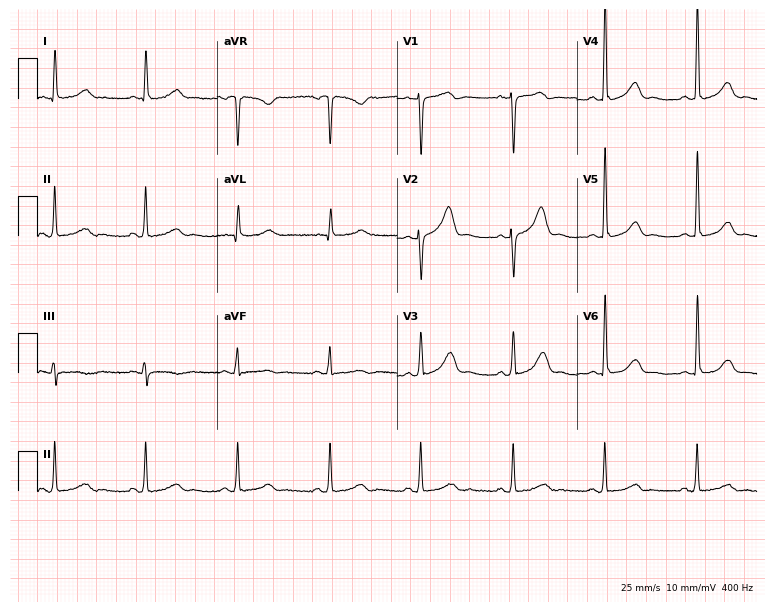
12-lead ECG from a female, 69 years old. Labelled as a normal ECG.